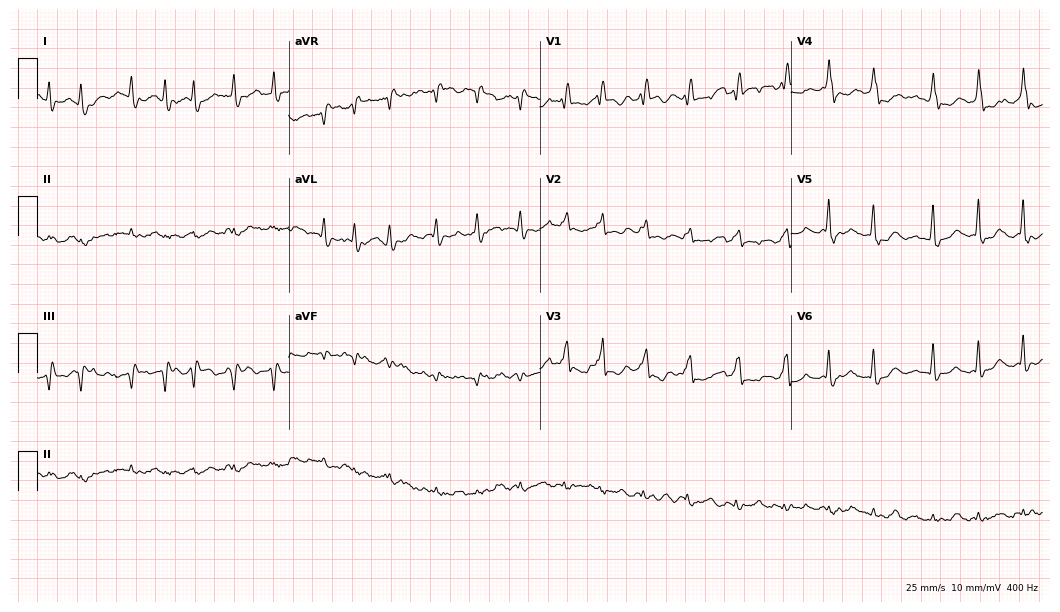
12-lead ECG from a female patient, 84 years old (10.2-second recording at 400 Hz). No first-degree AV block, right bundle branch block (RBBB), left bundle branch block (LBBB), sinus bradycardia, atrial fibrillation (AF) or sinus tachycardia recorded for this tracing. Other findings, if any, are not listed.